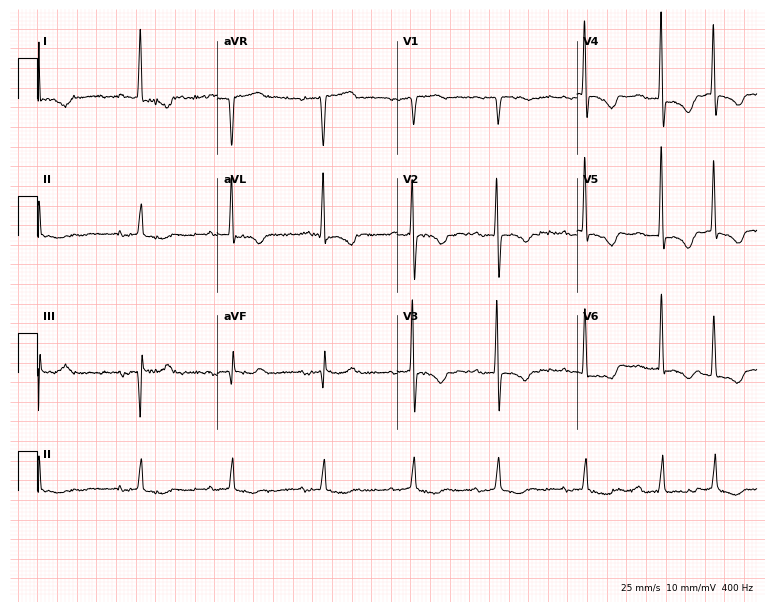
12-lead ECG from a female patient, 80 years old (7.3-second recording at 400 Hz). No first-degree AV block, right bundle branch block (RBBB), left bundle branch block (LBBB), sinus bradycardia, atrial fibrillation (AF) or sinus tachycardia recorded for this tracing. Only these six findings were labelled.